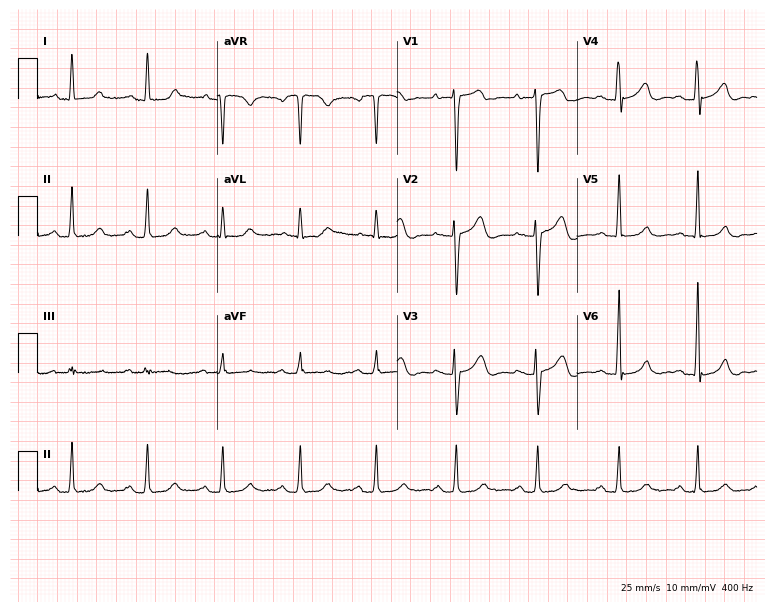
Standard 12-lead ECG recorded from a 39-year-old woman (7.3-second recording at 400 Hz). Read as a normal ECG.